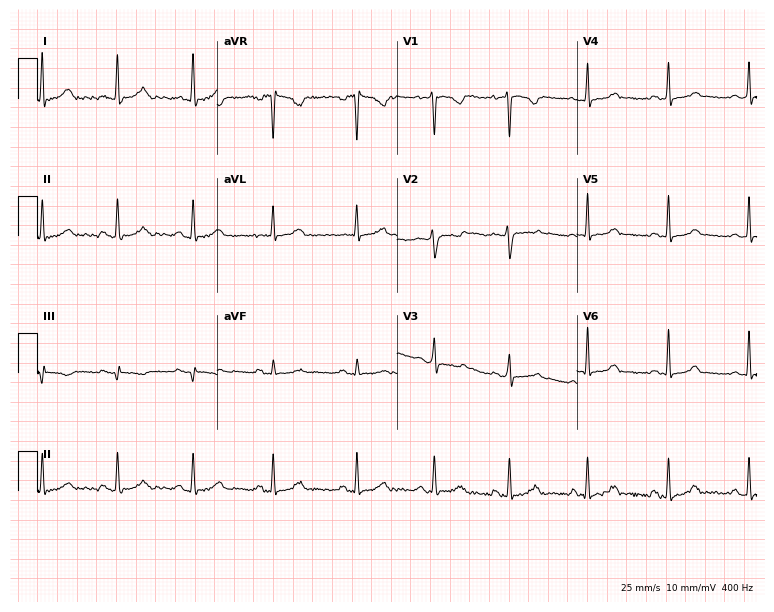
Electrocardiogram (7.3-second recording at 400 Hz), a 25-year-old woman. Of the six screened findings (first-degree AV block, right bundle branch block (RBBB), left bundle branch block (LBBB), sinus bradycardia, atrial fibrillation (AF), sinus tachycardia), none is recorded. Only these six findings were labelled.